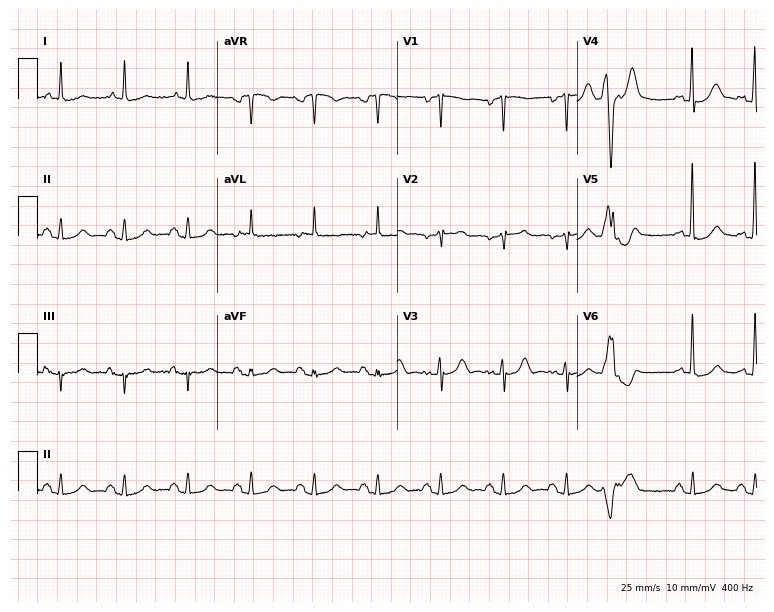
12-lead ECG (7.3-second recording at 400 Hz) from a 70-year-old woman. Screened for six findings — first-degree AV block, right bundle branch block, left bundle branch block, sinus bradycardia, atrial fibrillation, sinus tachycardia — none is recorded. Findings outside these six are not listed.